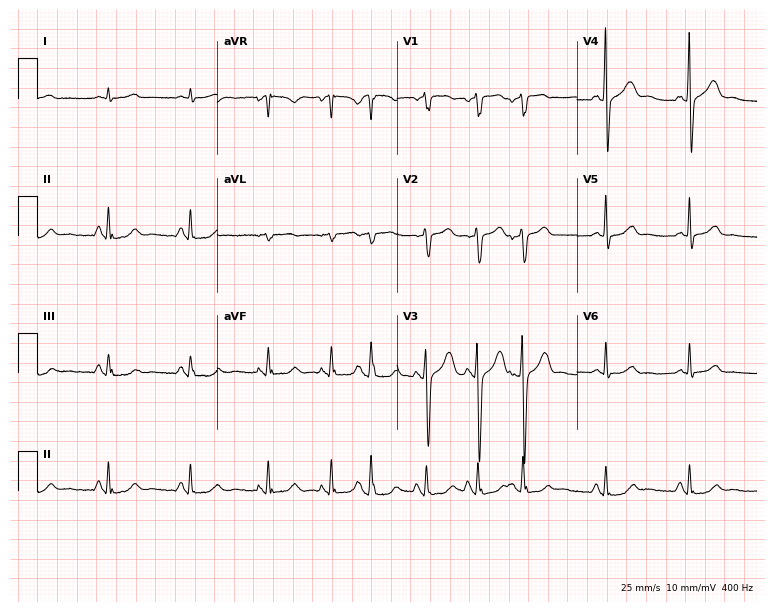
ECG — a 70-year-old man. Screened for six findings — first-degree AV block, right bundle branch block (RBBB), left bundle branch block (LBBB), sinus bradycardia, atrial fibrillation (AF), sinus tachycardia — none is recorded. Other findings, if any, are not listed.